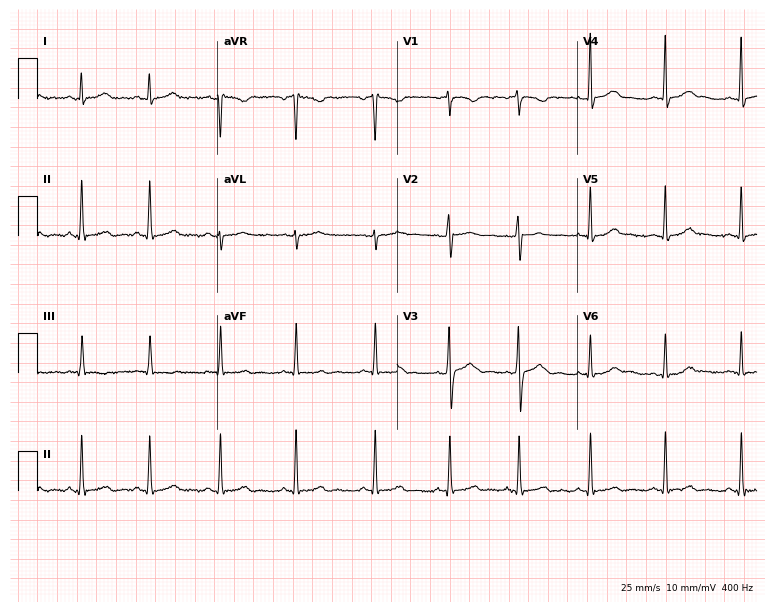
Resting 12-lead electrocardiogram. Patient: a female, 18 years old. Read as a normal ECG.